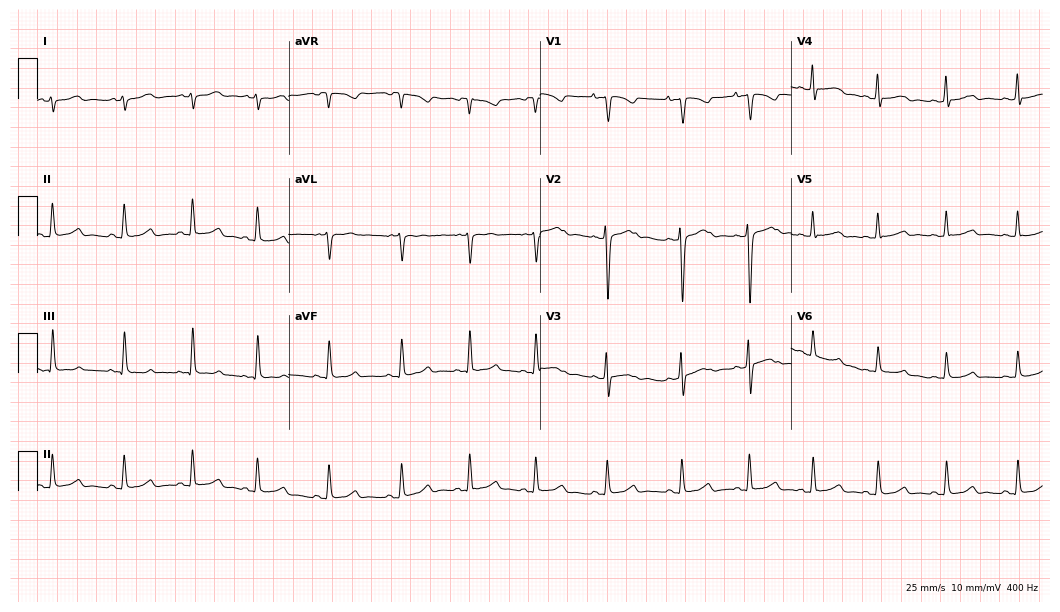
12-lead ECG (10.2-second recording at 400 Hz) from a 17-year-old female patient. Labelled as a normal ECG.